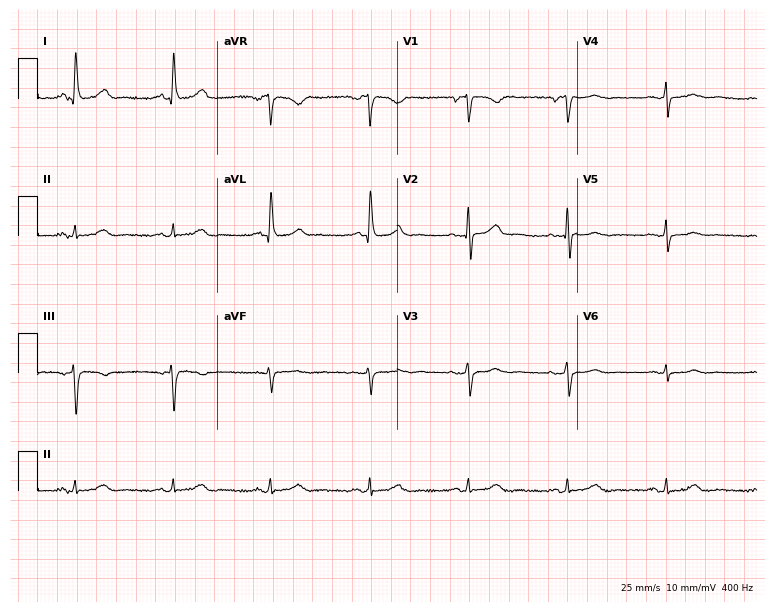
ECG (7.3-second recording at 400 Hz) — a 68-year-old female patient. Screened for six findings — first-degree AV block, right bundle branch block, left bundle branch block, sinus bradycardia, atrial fibrillation, sinus tachycardia — none is recorded. Only these six findings were labelled.